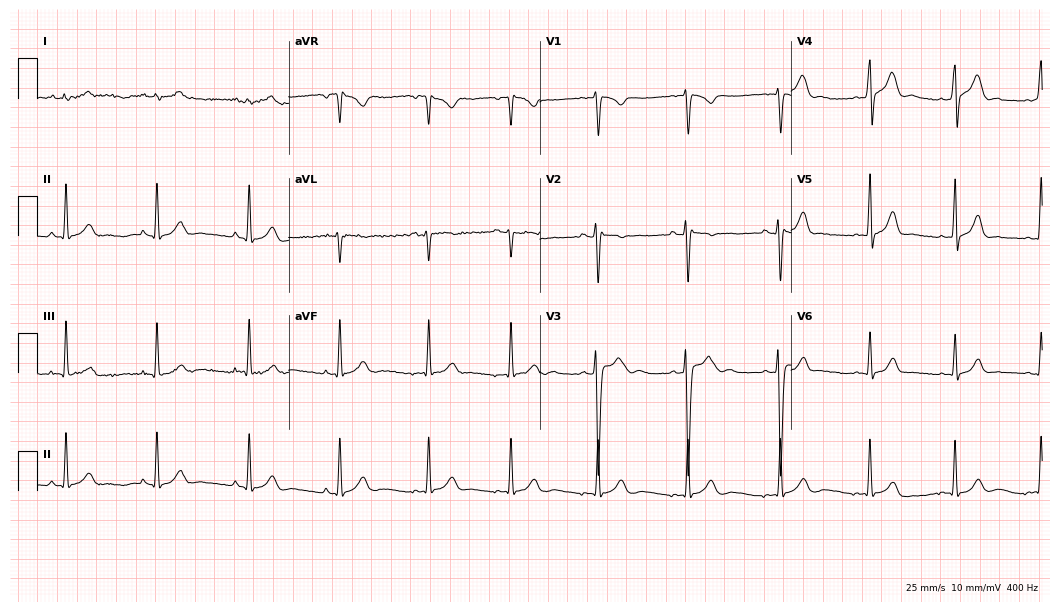
Electrocardiogram (10.2-second recording at 400 Hz), a male patient, 17 years old. Overall reading on record: normal ECG.